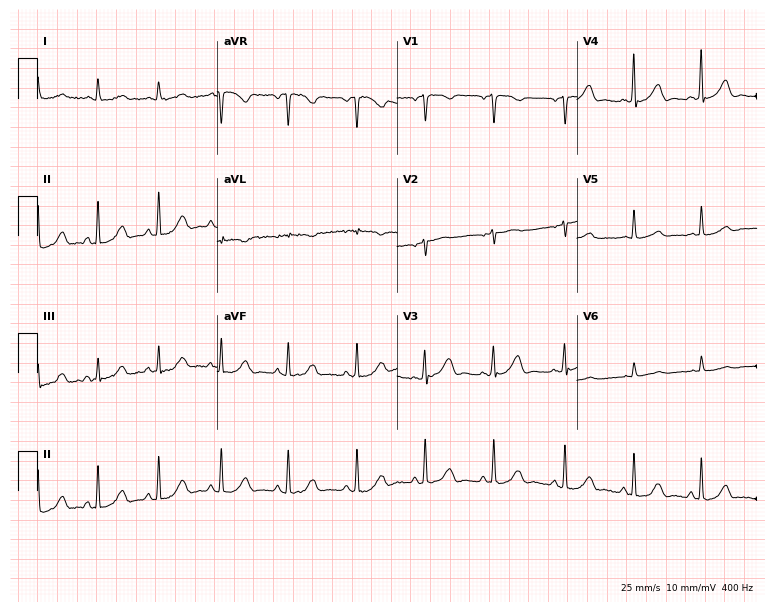
Resting 12-lead electrocardiogram (7.3-second recording at 400 Hz). Patient: a 69-year-old female. None of these six findings is recorded: first-degree AV block, right bundle branch block, left bundle branch block, sinus bradycardia, atrial fibrillation, sinus tachycardia. Only these six findings were labelled.